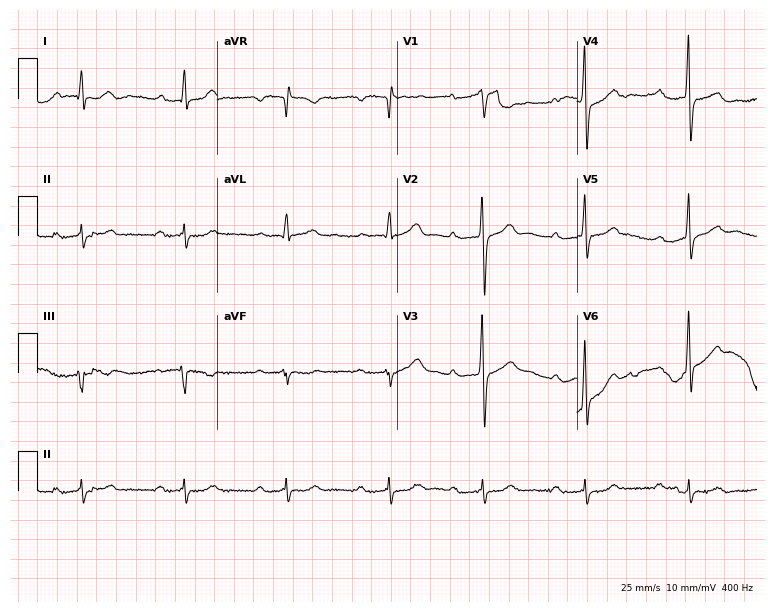
Electrocardiogram, a 62-year-old male. Interpretation includes first-degree AV block, left bundle branch block.